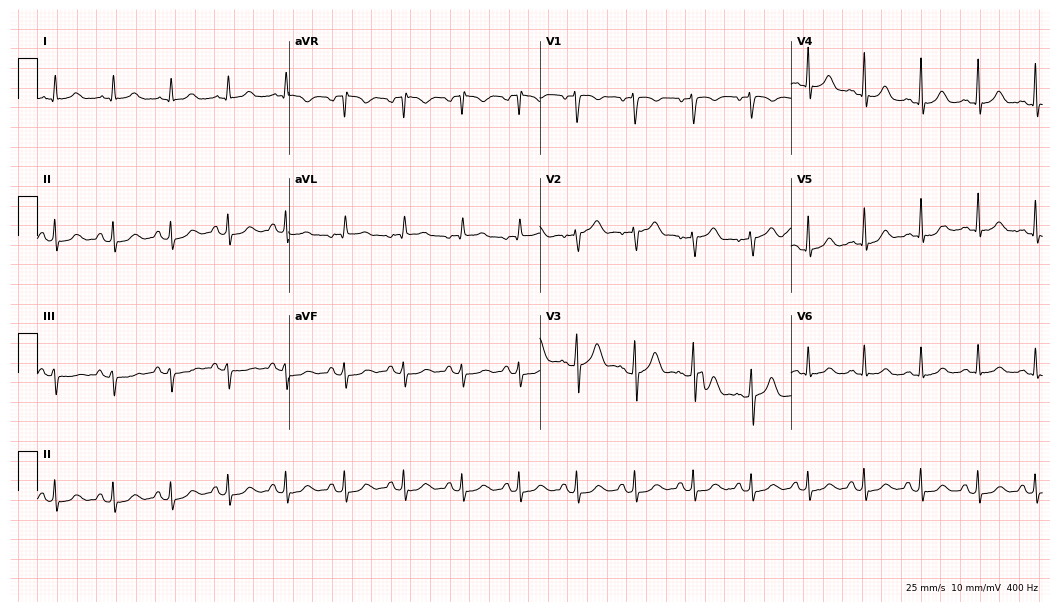
Electrocardiogram (10.2-second recording at 400 Hz), a 29-year-old female. Of the six screened findings (first-degree AV block, right bundle branch block (RBBB), left bundle branch block (LBBB), sinus bradycardia, atrial fibrillation (AF), sinus tachycardia), none is recorded.